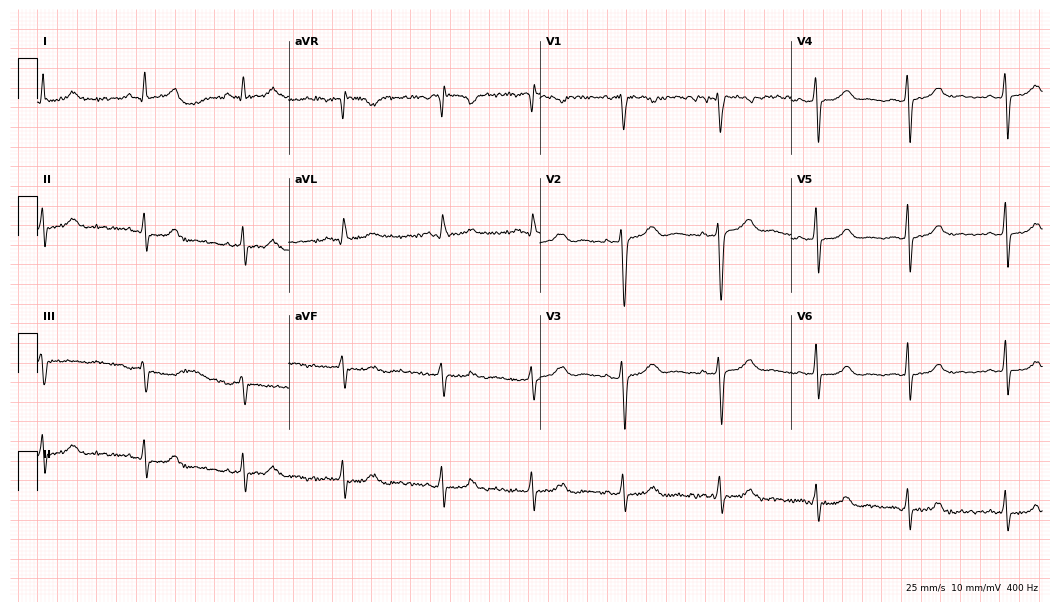
12-lead ECG from a female patient, 38 years old. Screened for six findings — first-degree AV block, right bundle branch block, left bundle branch block, sinus bradycardia, atrial fibrillation, sinus tachycardia — none is recorded. Only these six findings were labelled.